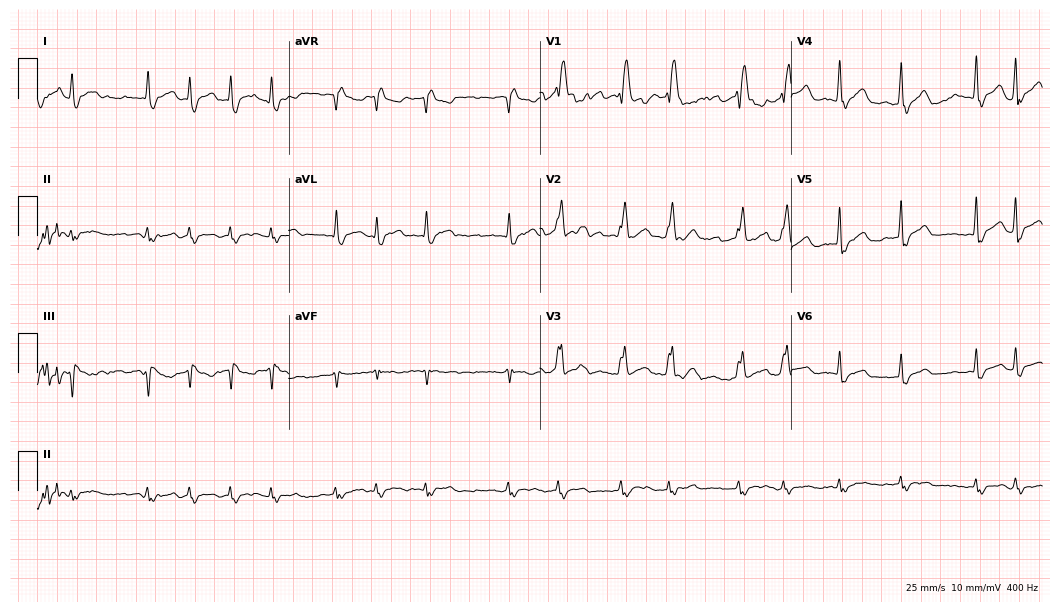
12-lead ECG from a male patient, 69 years old (10.2-second recording at 400 Hz). No first-degree AV block, right bundle branch block (RBBB), left bundle branch block (LBBB), sinus bradycardia, atrial fibrillation (AF) or sinus tachycardia recorded for this tracing. Other findings, if any, are not listed.